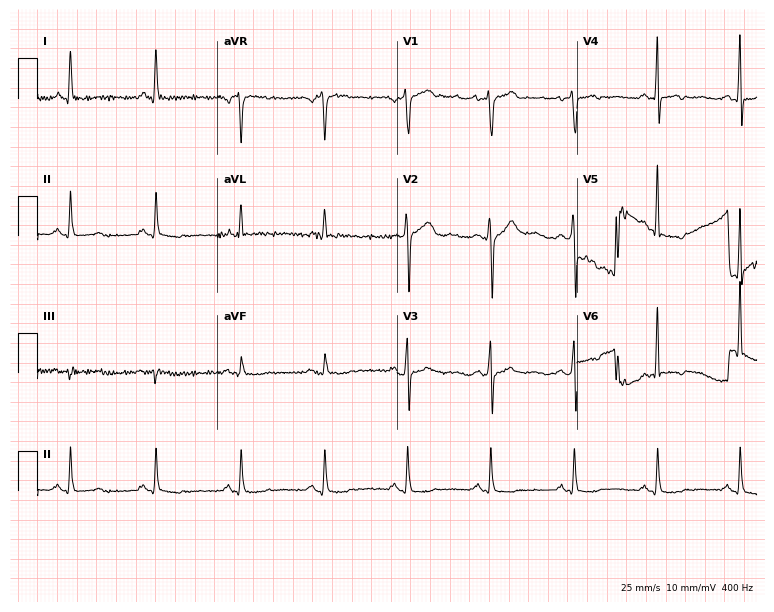
12-lead ECG from a 53-year-old male patient. No first-degree AV block, right bundle branch block (RBBB), left bundle branch block (LBBB), sinus bradycardia, atrial fibrillation (AF) or sinus tachycardia recorded for this tracing. Findings outside these six are not listed.